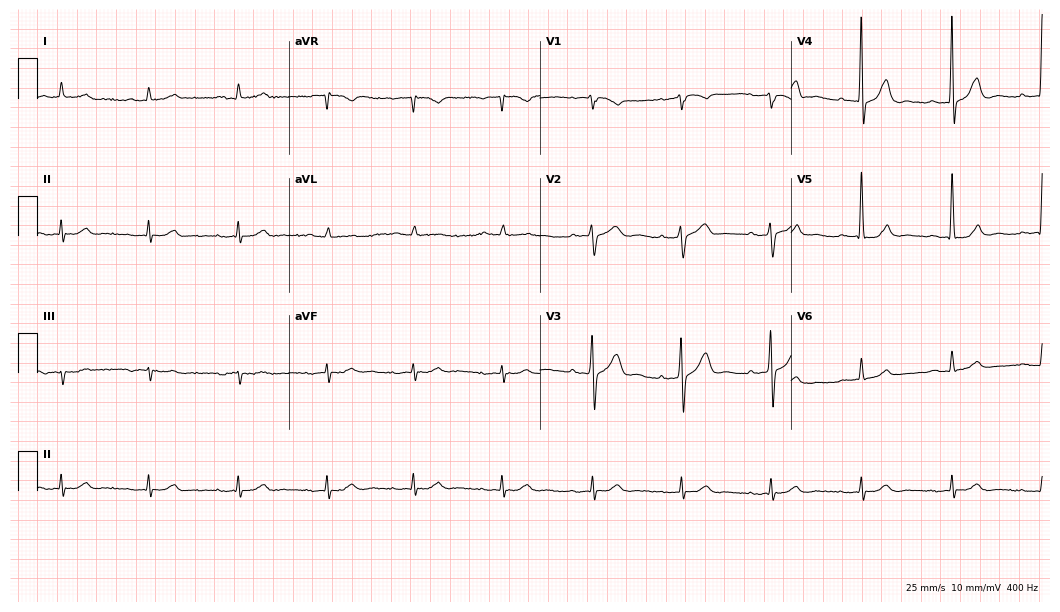
Standard 12-lead ECG recorded from a male, 81 years old. None of these six findings is recorded: first-degree AV block, right bundle branch block (RBBB), left bundle branch block (LBBB), sinus bradycardia, atrial fibrillation (AF), sinus tachycardia. Findings outside these six are not listed.